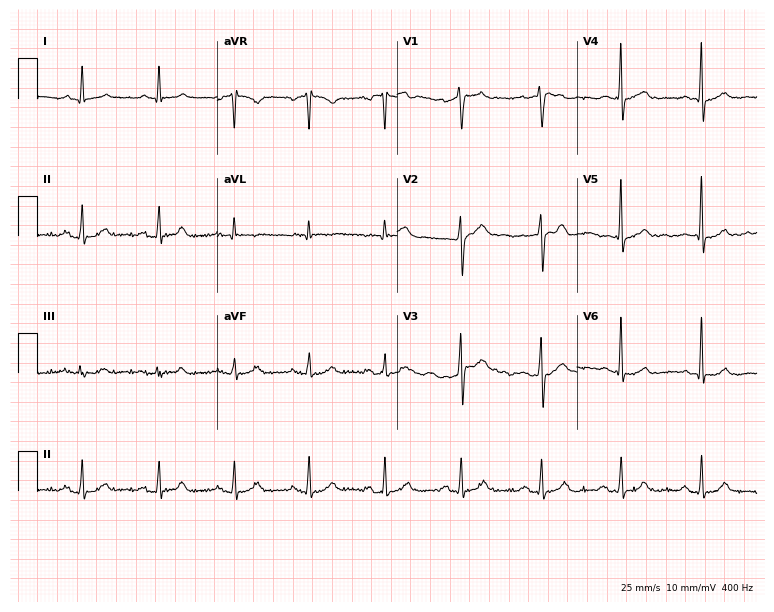
12-lead ECG (7.3-second recording at 400 Hz) from a 60-year-old man. Labelled as a normal ECG.